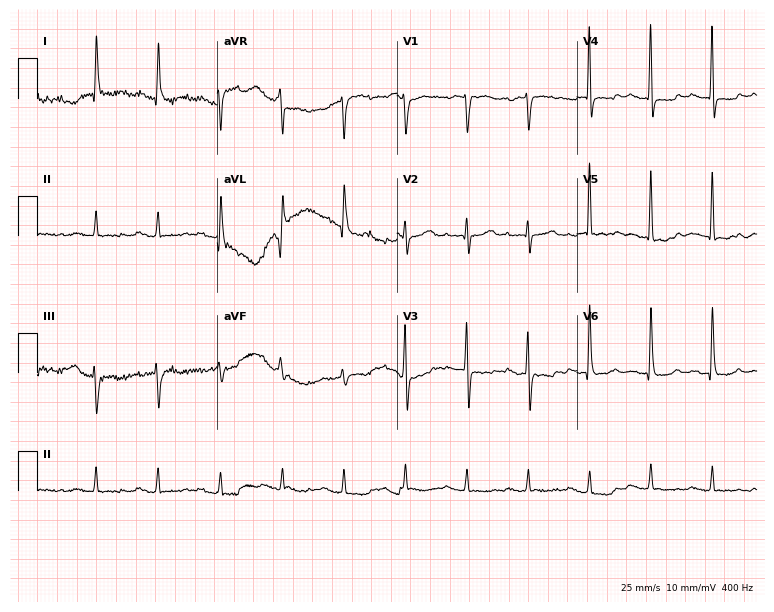
12-lead ECG from an 80-year-old man. No first-degree AV block, right bundle branch block, left bundle branch block, sinus bradycardia, atrial fibrillation or sinus tachycardia recorded for this tracing.